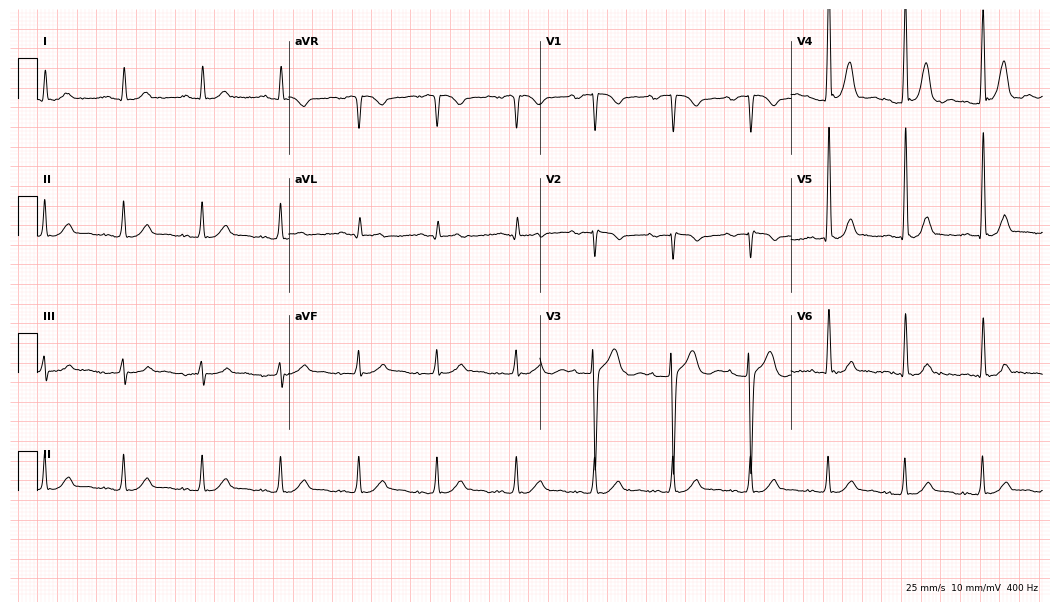
12-lead ECG from a 35-year-old man (10.2-second recording at 400 Hz). Recorded interpretation: within normal limits.